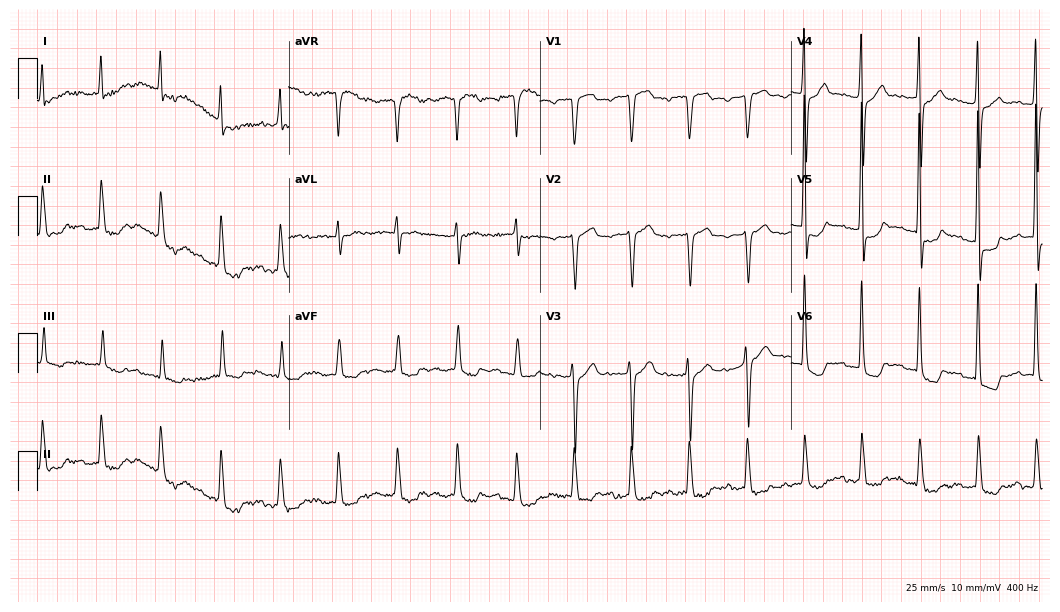
Standard 12-lead ECG recorded from an 82-year-old female patient. None of these six findings is recorded: first-degree AV block, right bundle branch block (RBBB), left bundle branch block (LBBB), sinus bradycardia, atrial fibrillation (AF), sinus tachycardia.